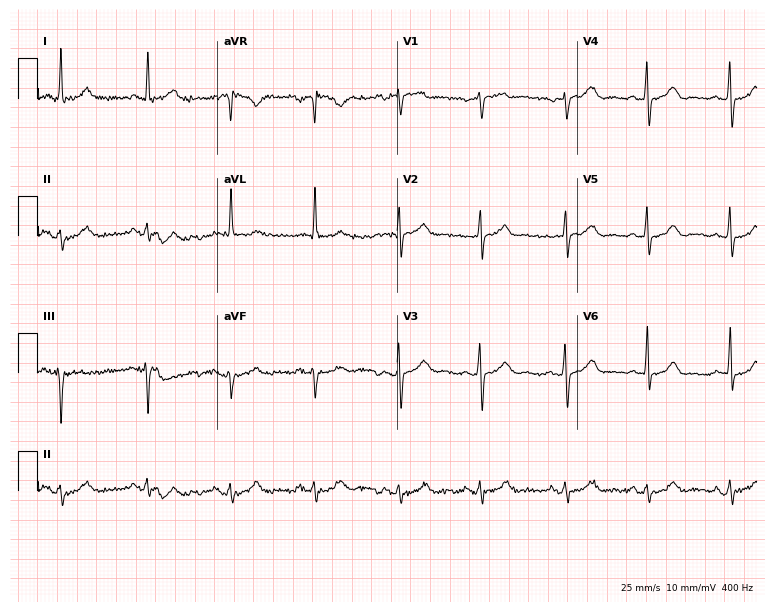
Standard 12-lead ECG recorded from a 47-year-old female patient. Read as a normal ECG.